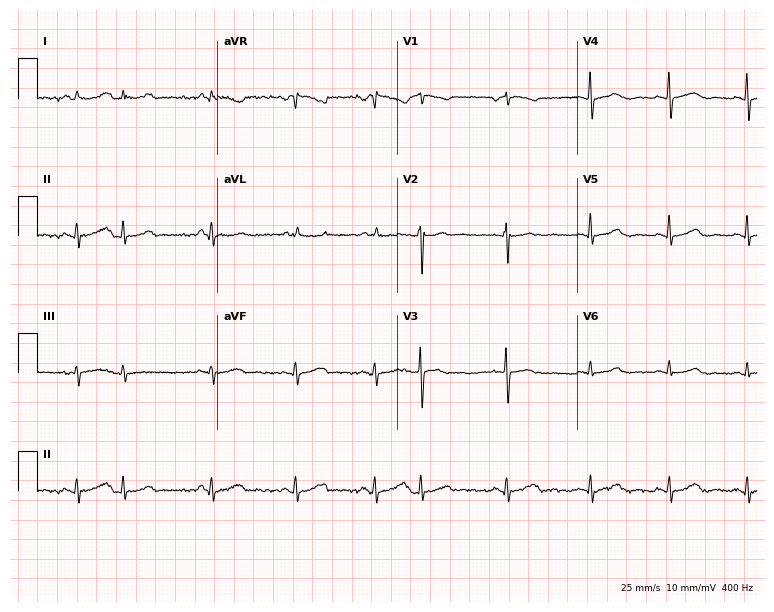
Electrocardiogram (7.3-second recording at 400 Hz), a female patient, 83 years old. Overall reading on record: normal ECG.